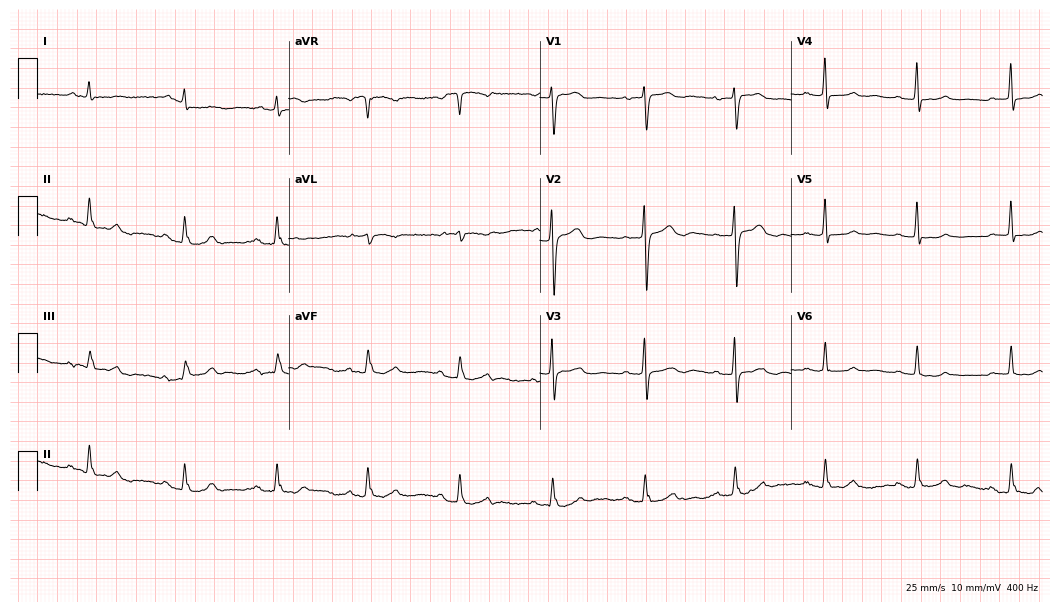
Resting 12-lead electrocardiogram. Patient: a woman, 82 years old. Read as a normal ECG.